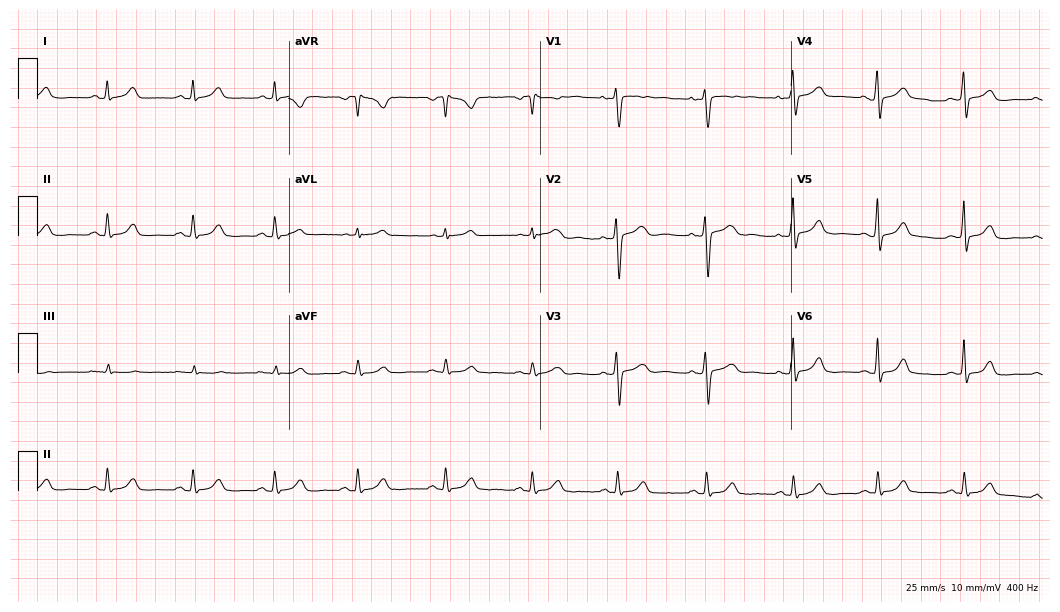
Electrocardiogram (10.2-second recording at 400 Hz), a 43-year-old female patient. Overall reading on record: normal ECG.